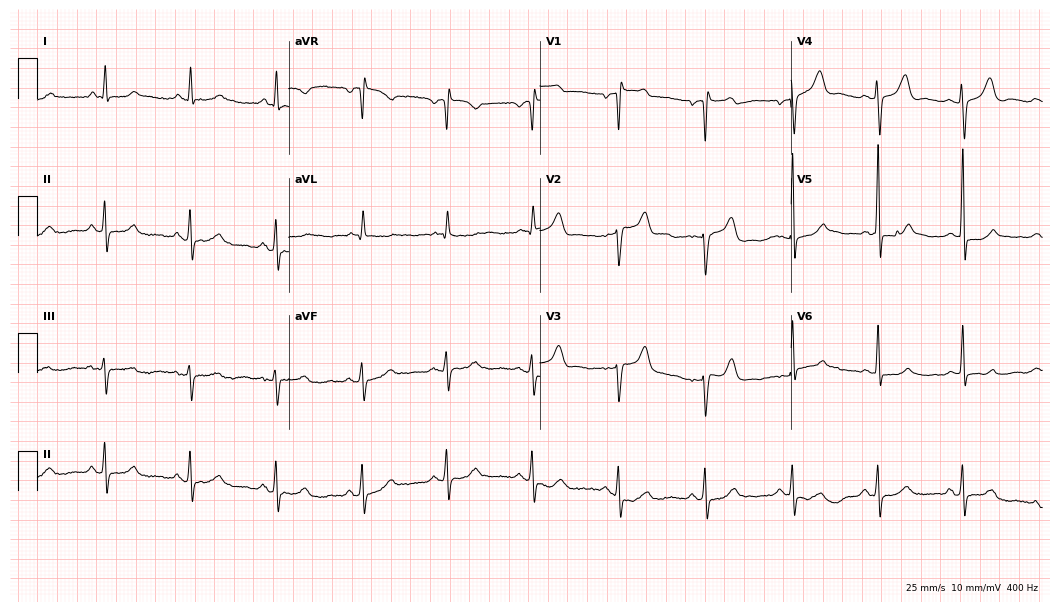
12-lead ECG from a female patient, 60 years old. Screened for six findings — first-degree AV block, right bundle branch block, left bundle branch block, sinus bradycardia, atrial fibrillation, sinus tachycardia — none is recorded.